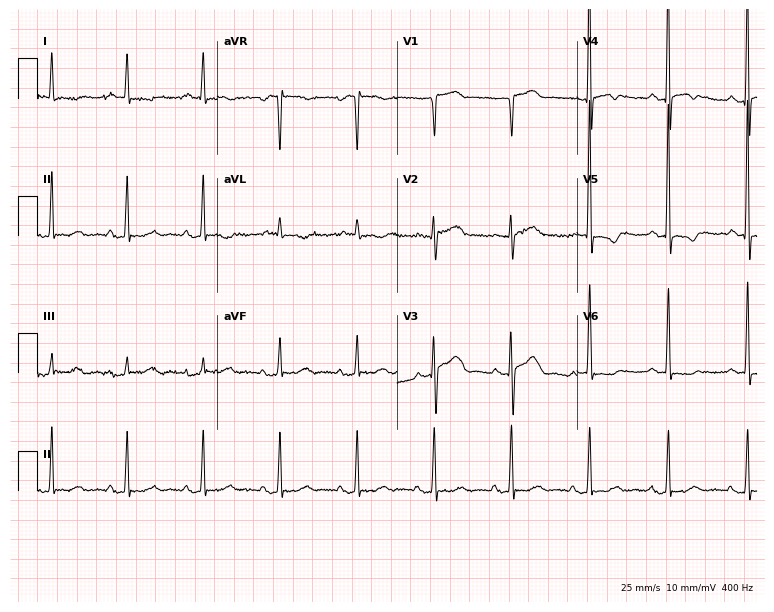
12-lead ECG (7.3-second recording at 400 Hz) from a 69-year-old female patient. Screened for six findings — first-degree AV block, right bundle branch block, left bundle branch block, sinus bradycardia, atrial fibrillation, sinus tachycardia — none is recorded. Findings outside these six are not listed.